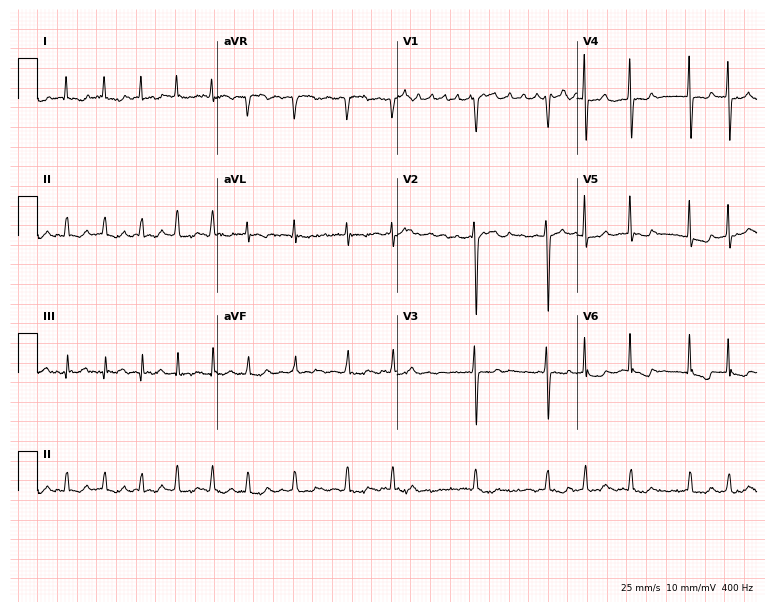
Electrocardiogram, a female, 63 years old. Interpretation includes atrial fibrillation.